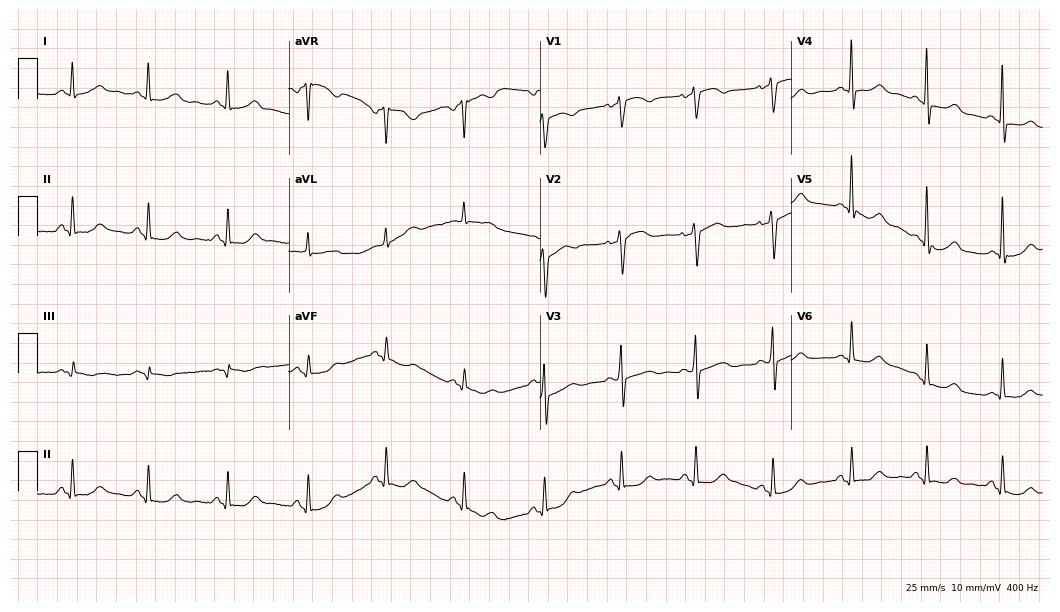
ECG (10.2-second recording at 400 Hz) — a female patient, 53 years old. Labelled as a normal ECG.